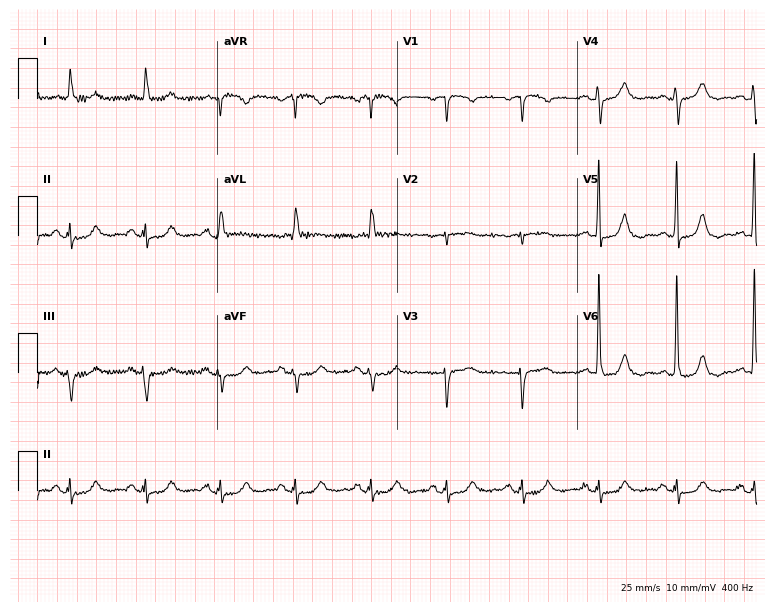
12-lead ECG from a female, 85 years old (7.3-second recording at 400 Hz). Recorded interpretation: within normal limits.